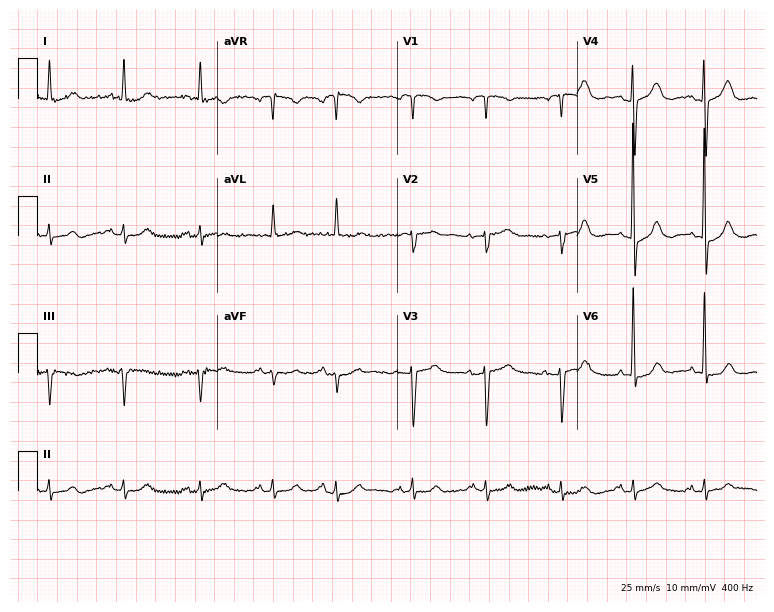
Electrocardiogram, a female patient, 80 years old. Of the six screened findings (first-degree AV block, right bundle branch block (RBBB), left bundle branch block (LBBB), sinus bradycardia, atrial fibrillation (AF), sinus tachycardia), none is recorded.